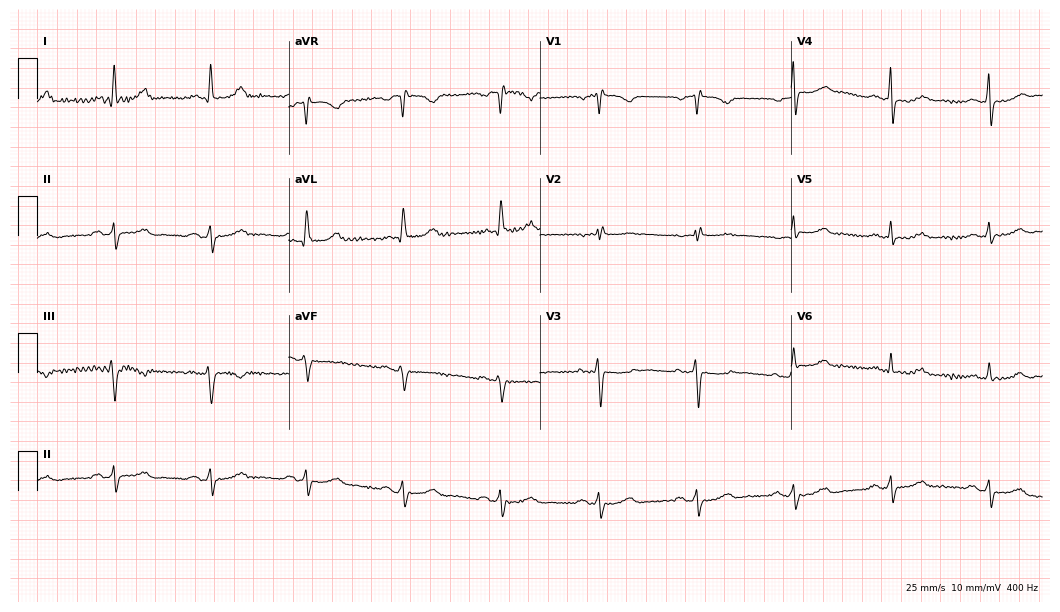
Standard 12-lead ECG recorded from a female, 68 years old. Read as a normal ECG.